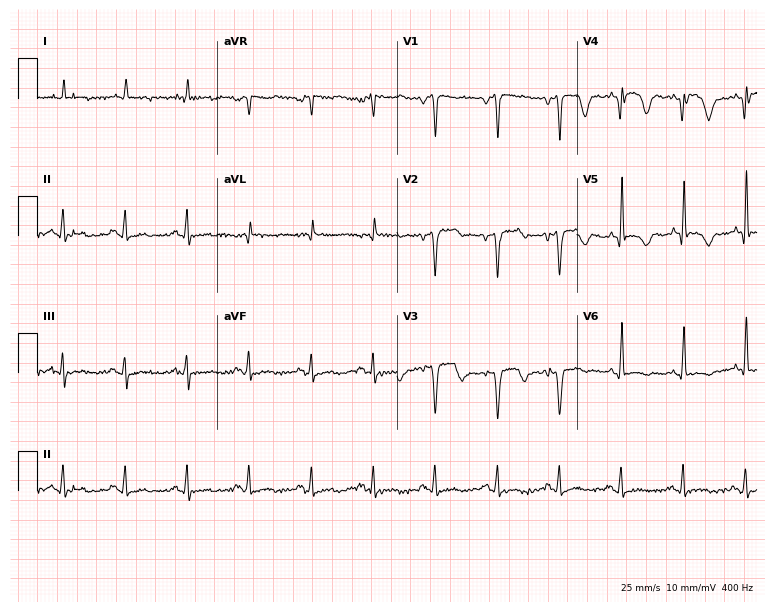
Resting 12-lead electrocardiogram. Patient: a 77-year-old male. None of these six findings is recorded: first-degree AV block, right bundle branch block, left bundle branch block, sinus bradycardia, atrial fibrillation, sinus tachycardia. Findings outside these six are not listed.